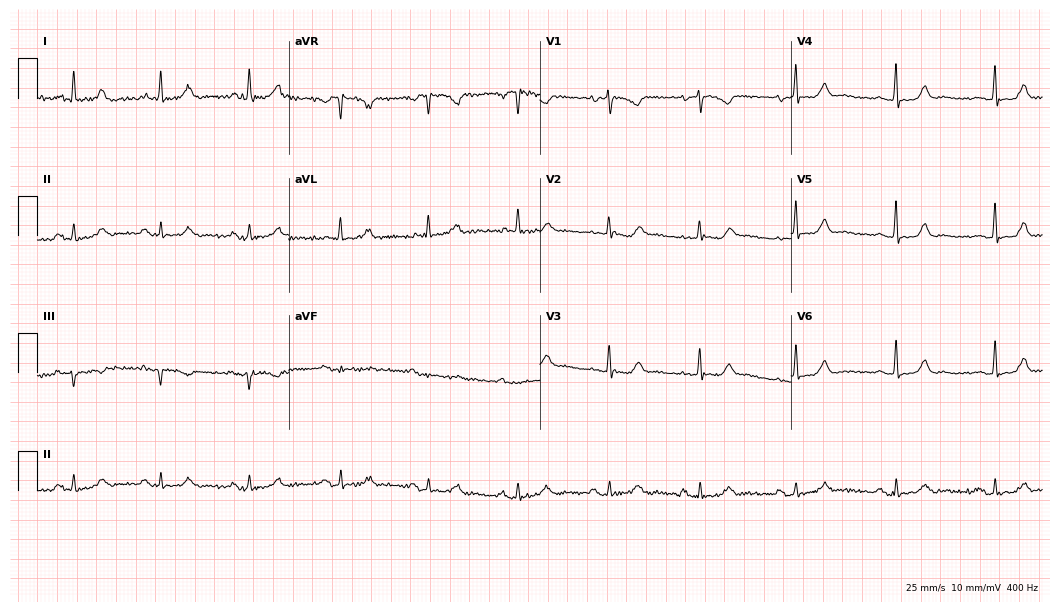
12-lead ECG from a female patient, 72 years old (10.2-second recording at 400 Hz). Recorded interpretation: within normal limits.